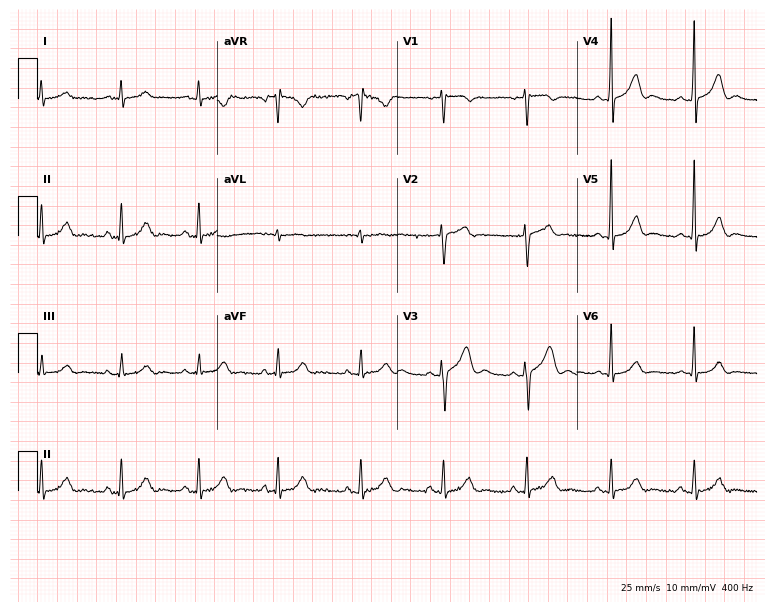
12-lead ECG from a 58-year-old man (7.3-second recording at 400 Hz). No first-degree AV block, right bundle branch block, left bundle branch block, sinus bradycardia, atrial fibrillation or sinus tachycardia recorded for this tracing.